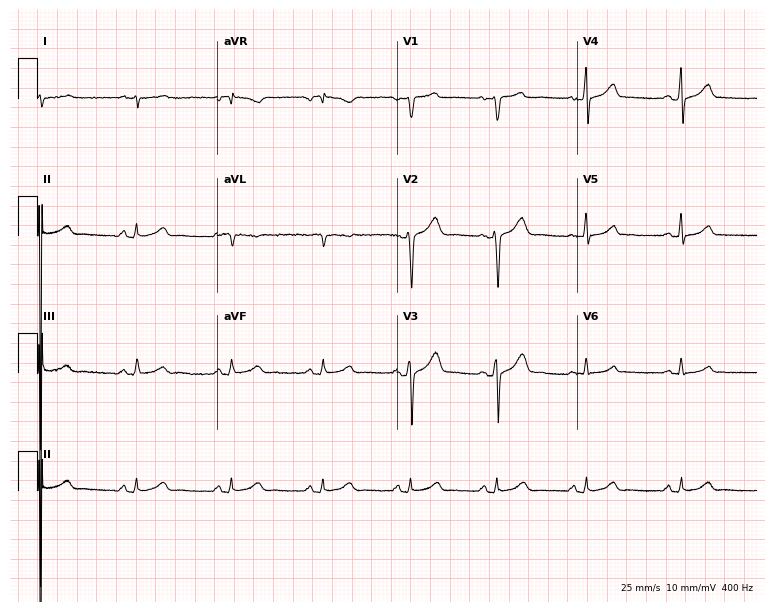
Electrocardiogram, a man, 41 years old. Of the six screened findings (first-degree AV block, right bundle branch block (RBBB), left bundle branch block (LBBB), sinus bradycardia, atrial fibrillation (AF), sinus tachycardia), none is recorded.